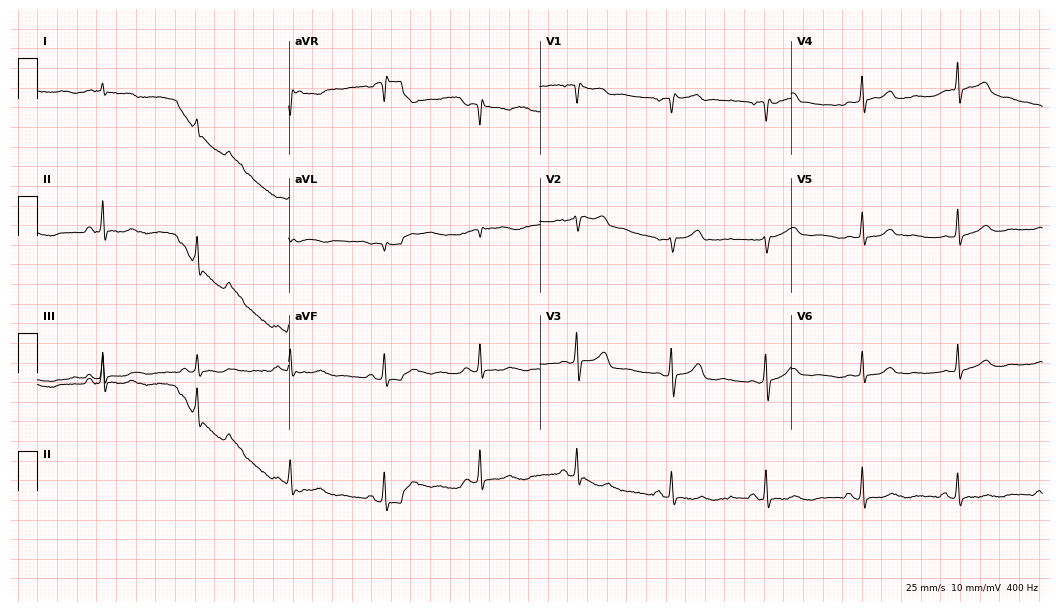
ECG — a man, 69 years old. Labelled as a normal ECG.